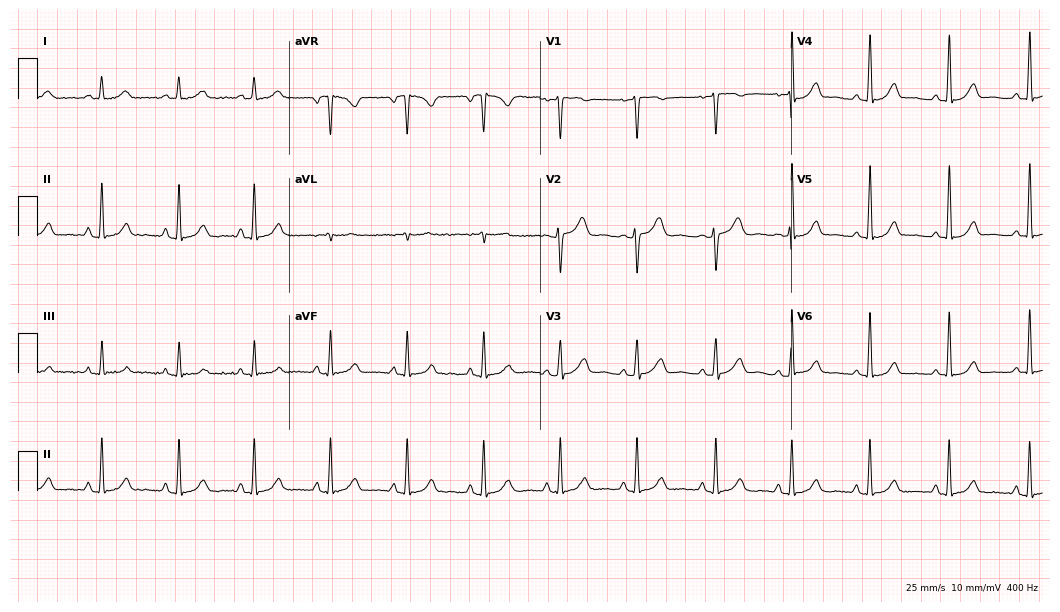
ECG — a female, 44 years old. Labelled as a normal ECG.